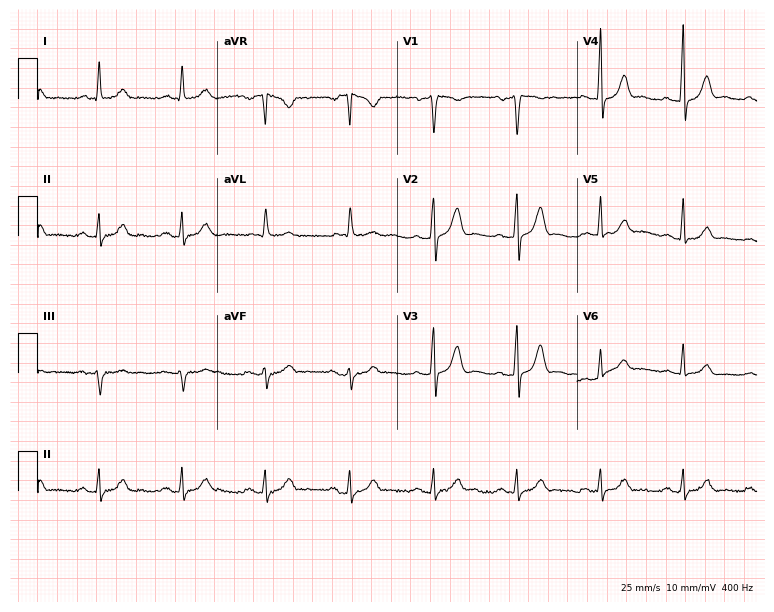
Electrocardiogram, a 65-year-old male. Of the six screened findings (first-degree AV block, right bundle branch block, left bundle branch block, sinus bradycardia, atrial fibrillation, sinus tachycardia), none is recorded.